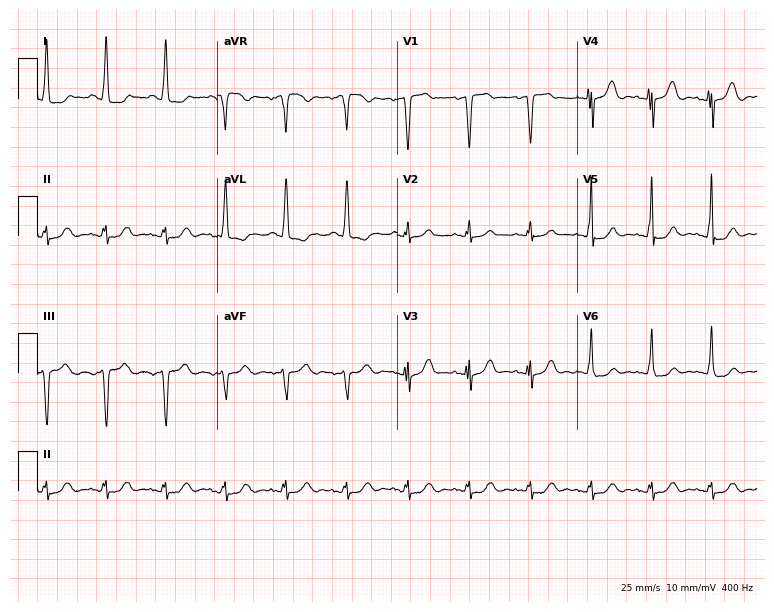
Standard 12-lead ECG recorded from a female patient, 61 years old. None of these six findings is recorded: first-degree AV block, right bundle branch block, left bundle branch block, sinus bradycardia, atrial fibrillation, sinus tachycardia.